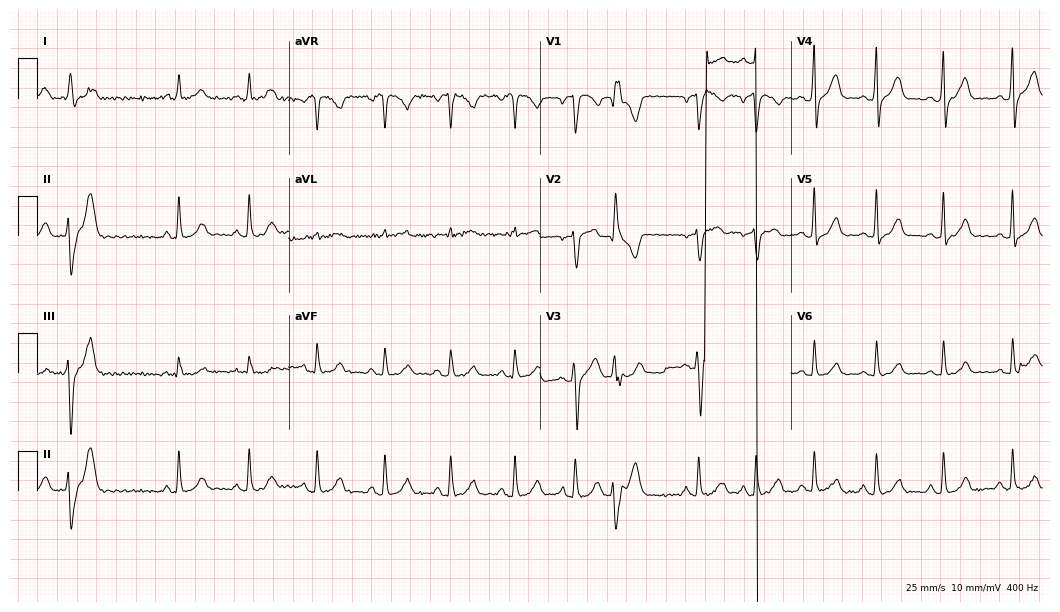
ECG — a 40-year-old female. Screened for six findings — first-degree AV block, right bundle branch block, left bundle branch block, sinus bradycardia, atrial fibrillation, sinus tachycardia — none is recorded.